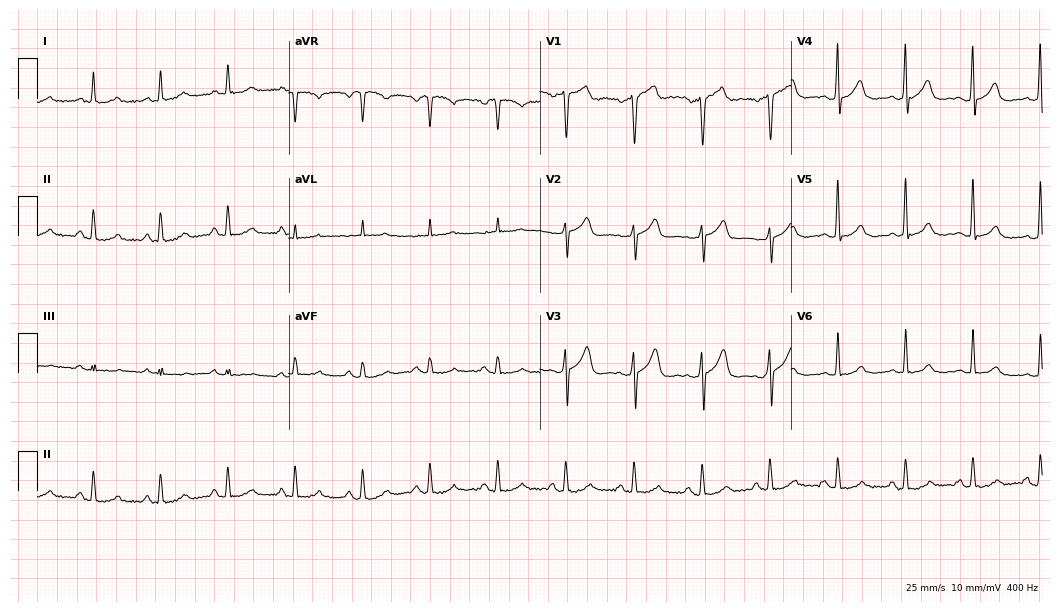
ECG — a 64-year-old man. Labelled as a normal ECG.